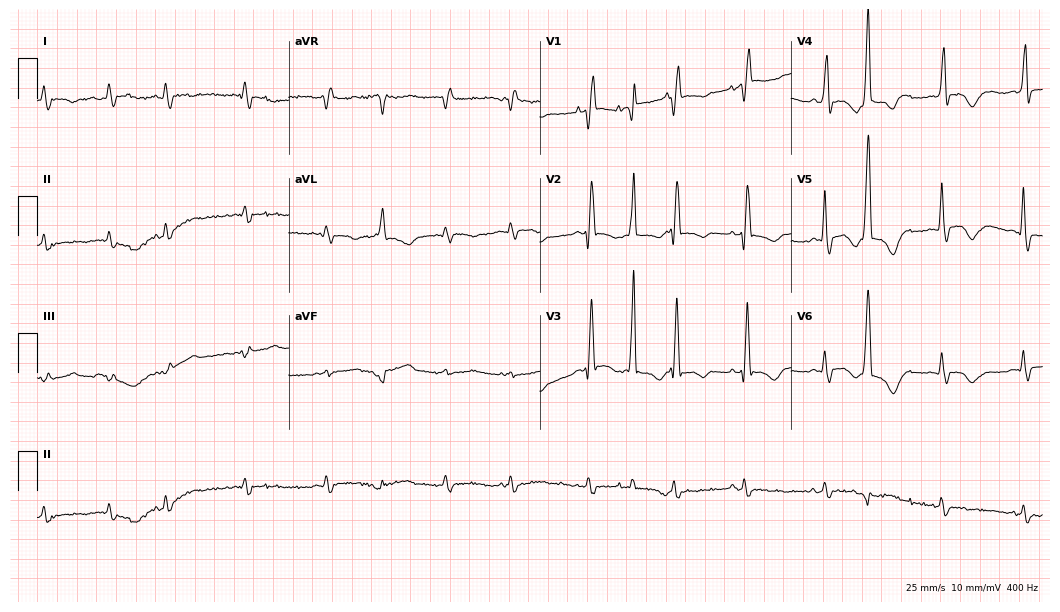
12-lead ECG from an 80-year-old female (10.2-second recording at 400 Hz). Shows right bundle branch block (RBBB), atrial fibrillation (AF).